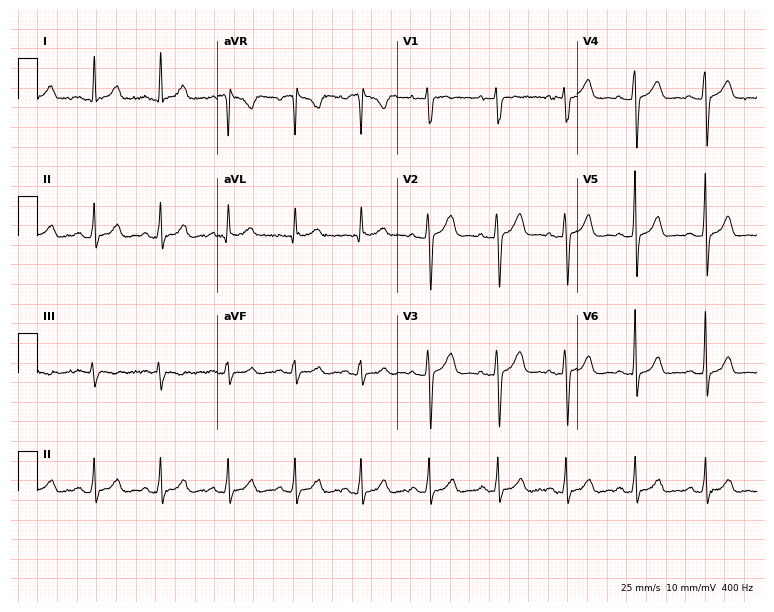
Standard 12-lead ECG recorded from a 31-year-old female patient (7.3-second recording at 400 Hz). Read as a normal ECG.